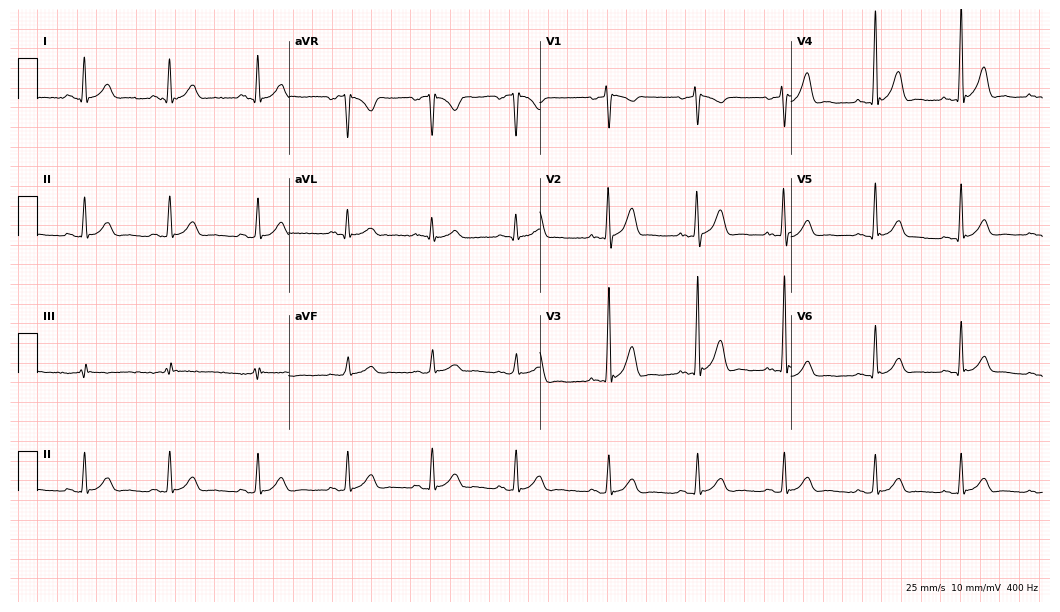
12-lead ECG from a 36-year-old male patient. No first-degree AV block, right bundle branch block, left bundle branch block, sinus bradycardia, atrial fibrillation or sinus tachycardia recorded for this tracing.